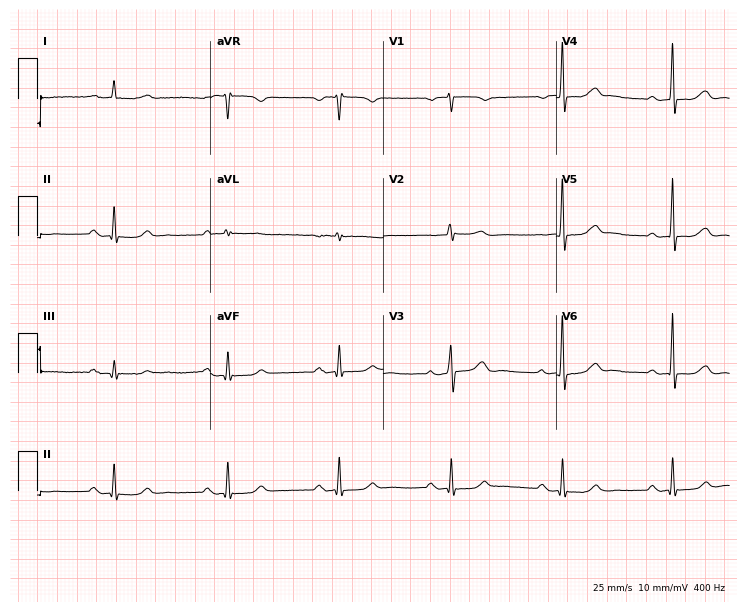
12-lead ECG (7.1-second recording at 400 Hz) from a man, 70 years old. Findings include first-degree AV block.